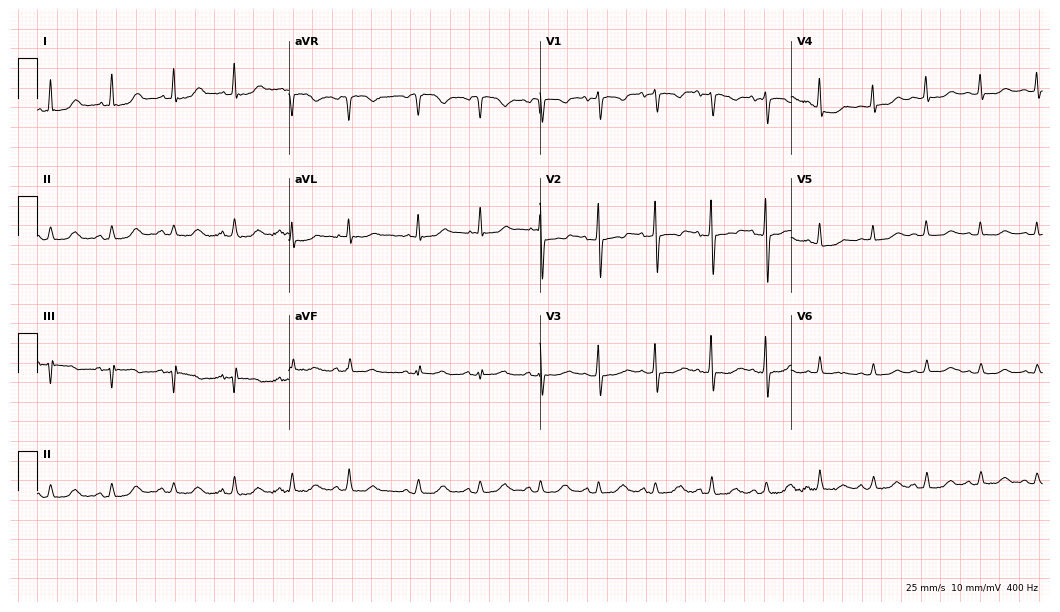
12-lead ECG from a male patient, 22 years old (10.2-second recording at 400 Hz). No first-degree AV block, right bundle branch block, left bundle branch block, sinus bradycardia, atrial fibrillation or sinus tachycardia recorded for this tracing.